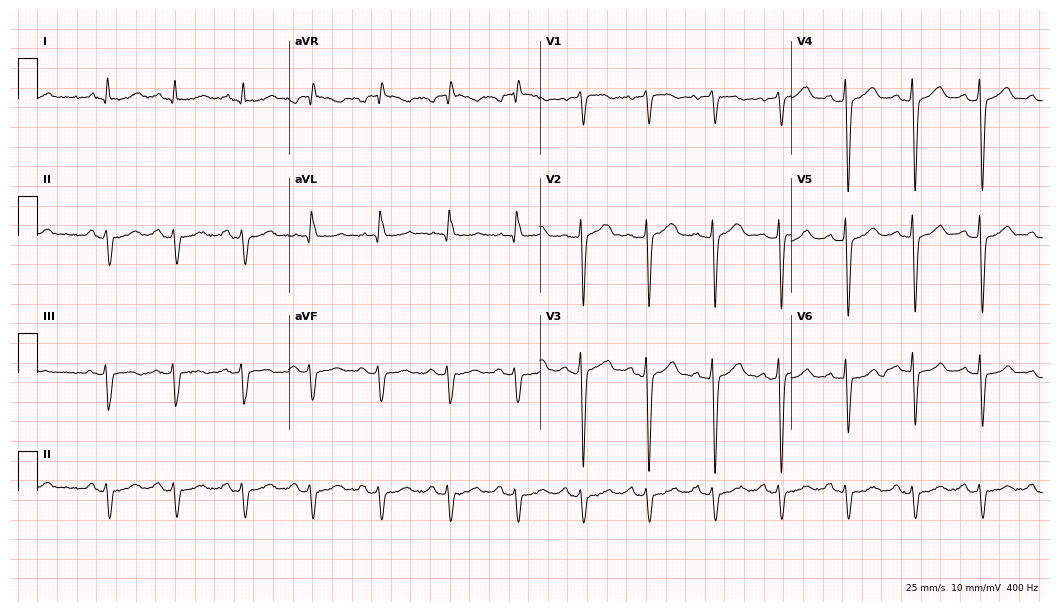
Resting 12-lead electrocardiogram (10.2-second recording at 400 Hz). Patient: a male, 86 years old. None of these six findings is recorded: first-degree AV block, right bundle branch block, left bundle branch block, sinus bradycardia, atrial fibrillation, sinus tachycardia.